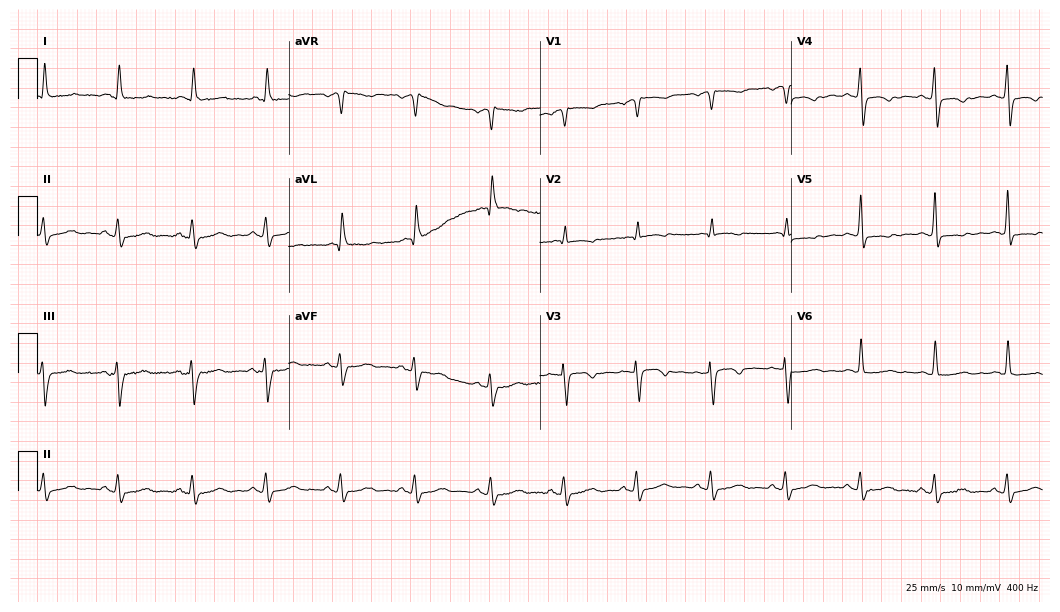
Resting 12-lead electrocardiogram. Patient: a female, 85 years old. None of these six findings is recorded: first-degree AV block, right bundle branch block, left bundle branch block, sinus bradycardia, atrial fibrillation, sinus tachycardia. Other findings, if any, are not listed.